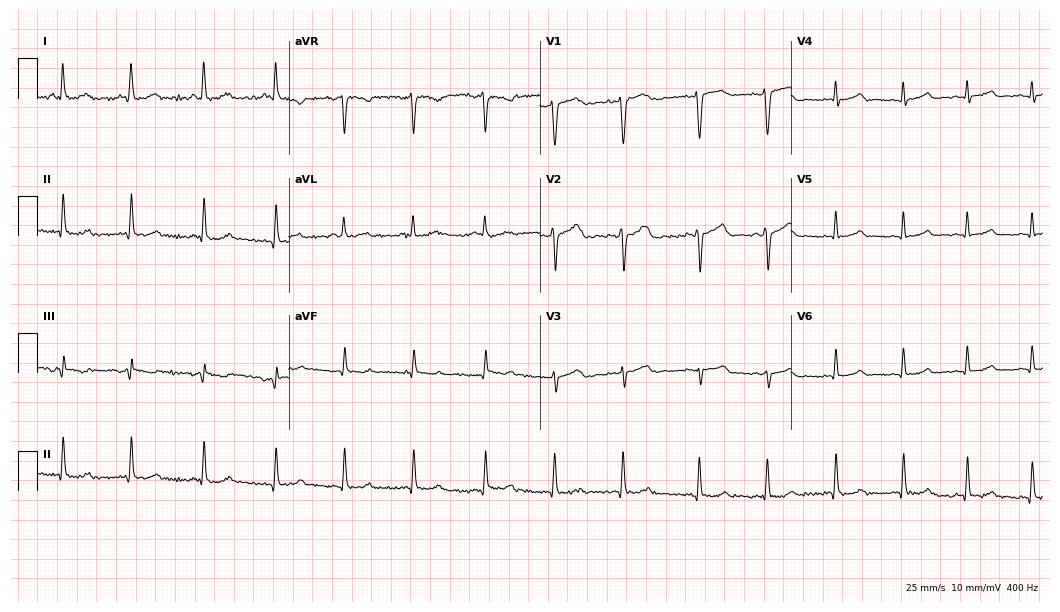
12-lead ECG from a female, 37 years old (10.2-second recording at 400 Hz). Recorded interpretation: within normal limits.